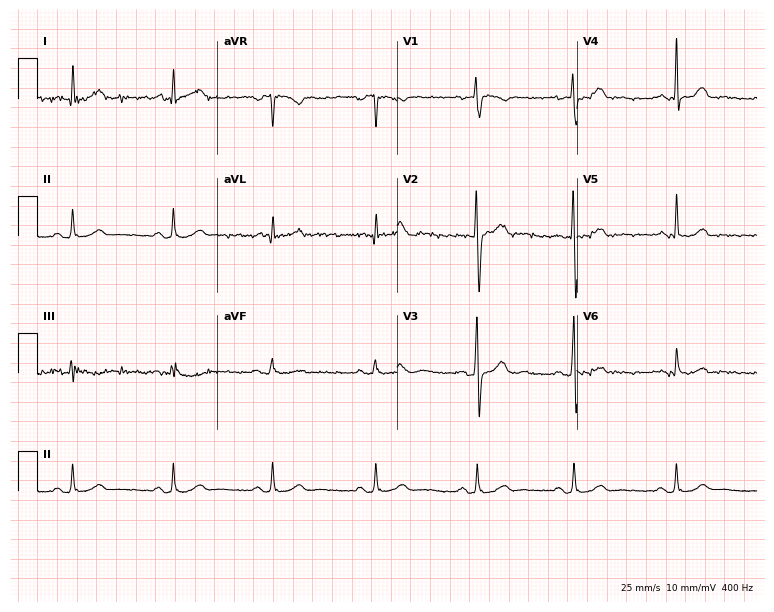
Electrocardiogram (7.3-second recording at 400 Hz), a 46-year-old male patient. Of the six screened findings (first-degree AV block, right bundle branch block (RBBB), left bundle branch block (LBBB), sinus bradycardia, atrial fibrillation (AF), sinus tachycardia), none is recorded. Findings outside these six are not listed.